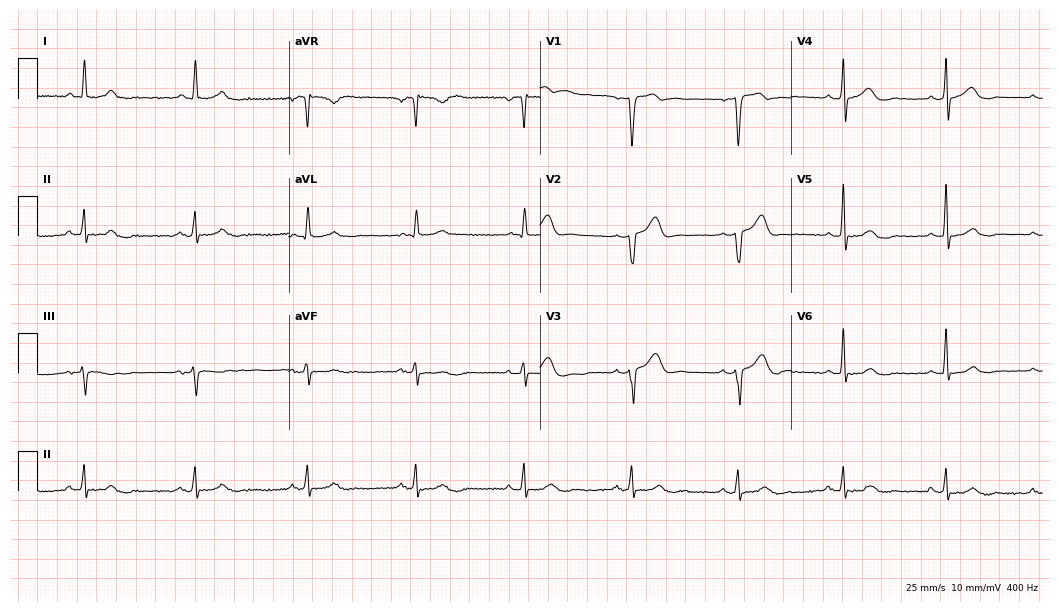
Resting 12-lead electrocardiogram (10.2-second recording at 400 Hz). Patient: a 69-year-old man. None of these six findings is recorded: first-degree AV block, right bundle branch block, left bundle branch block, sinus bradycardia, atrial fibrillation, sinus tachycardia.